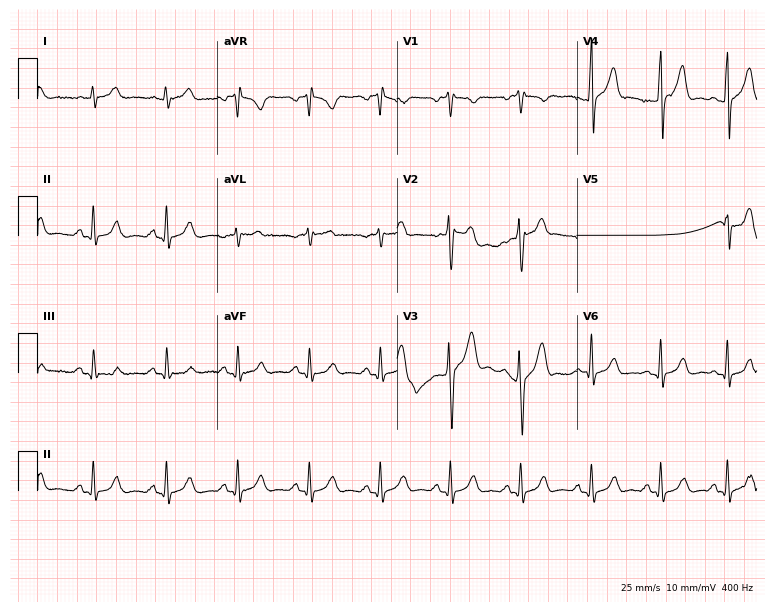
12-lead ECG from a man, 24 years old. Labelled as a normal ECG.